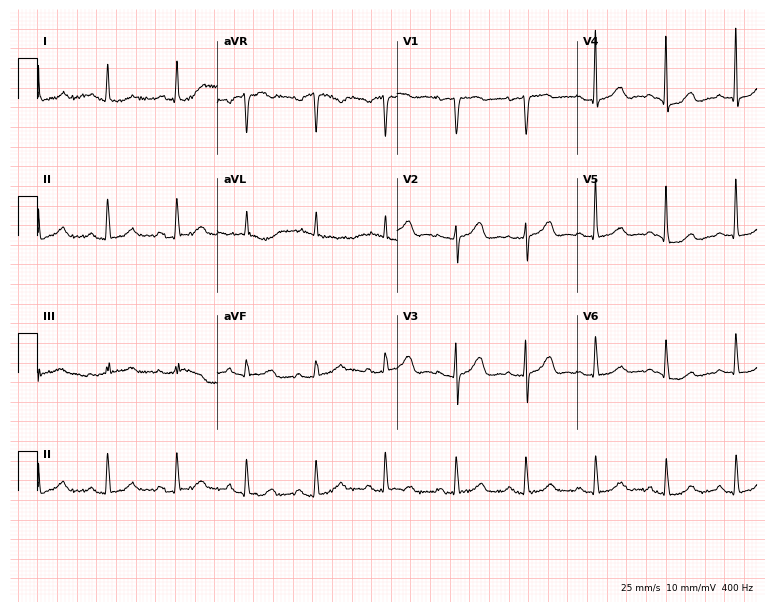
12-lead ECG from an 81-year-old woman (7.3-second recording at 400 Hz). No first-degree AV block, right bundle branch block (RBBB), left bundle branch block (LBBB), sinus bradycardia, atrial fibrillation (AF) or sinus tachycardia recorded for this tracing.